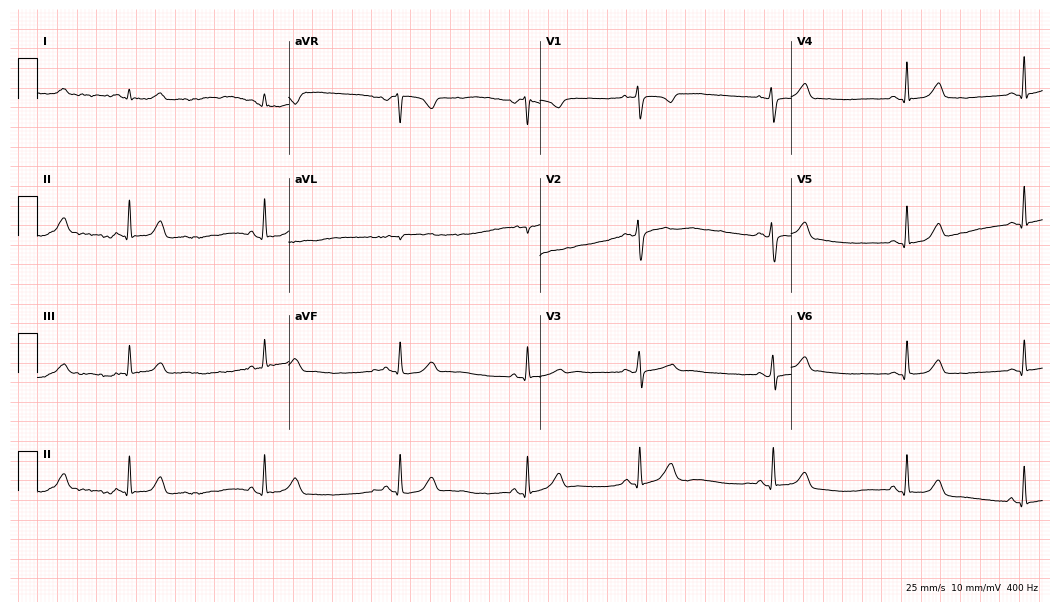
12-lead ECG from a 23-year-old female (10.2-second recording at 400 Hz). No first-degree AV block, right bundle branch block (RBBB), left bundle branch block (LBBB), sinus bradycardia, atrial fibrillation (AF) or sinus tachycardia recorded for this tracing.